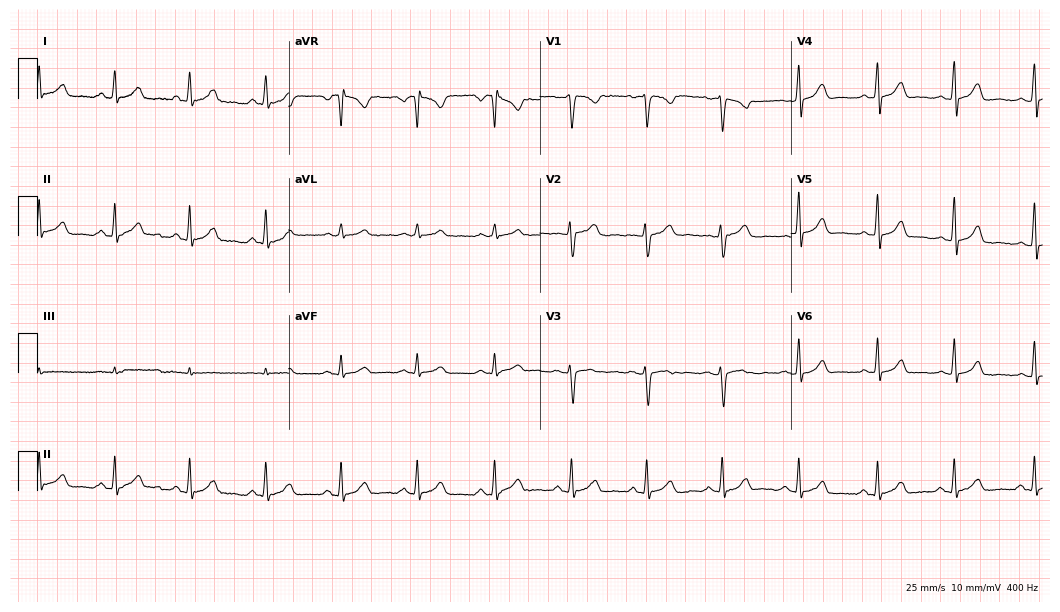
12-lead ECG from a 28-year-old female patient. Labelled as a normal ECG.